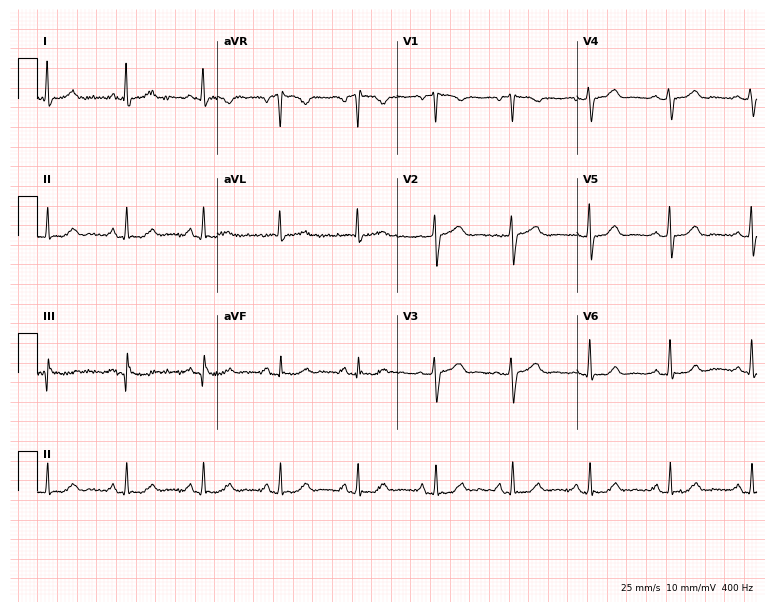
Electrocardiogram, a 53-year-old female patient. Overall reading on record: normal ECG.